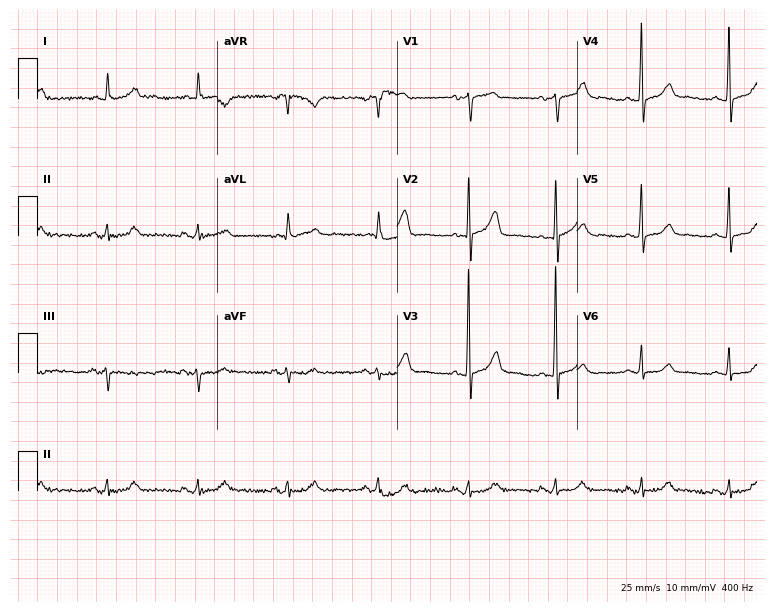
12-lead ECG from a male patient, 65 years old. Recorded interpretation: within normal limits.